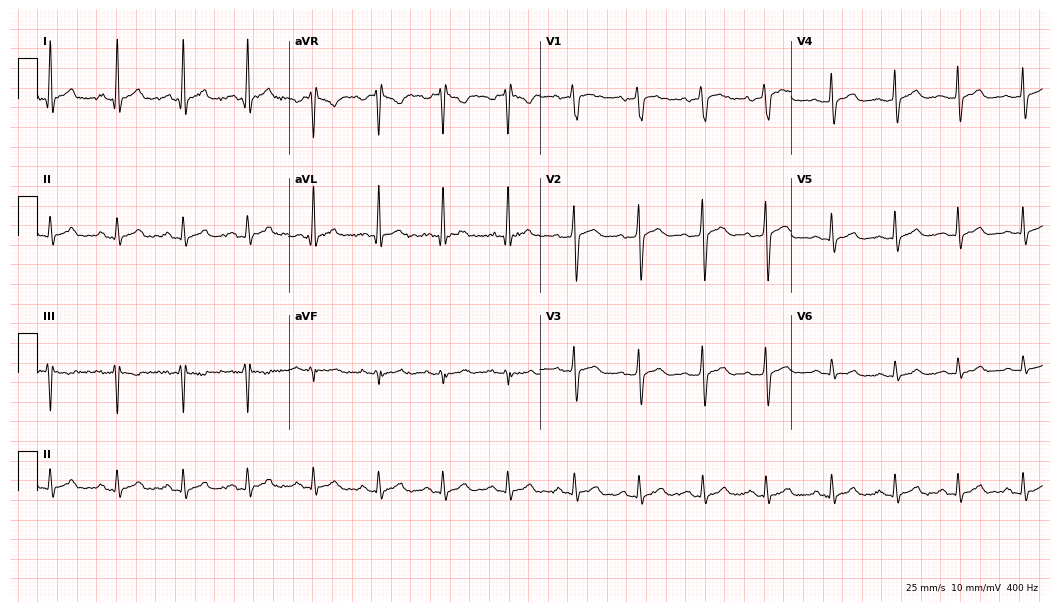
Resting 12-lead electrocardiogram. Patient: a 38-year-old male. Read as a normal ECG.